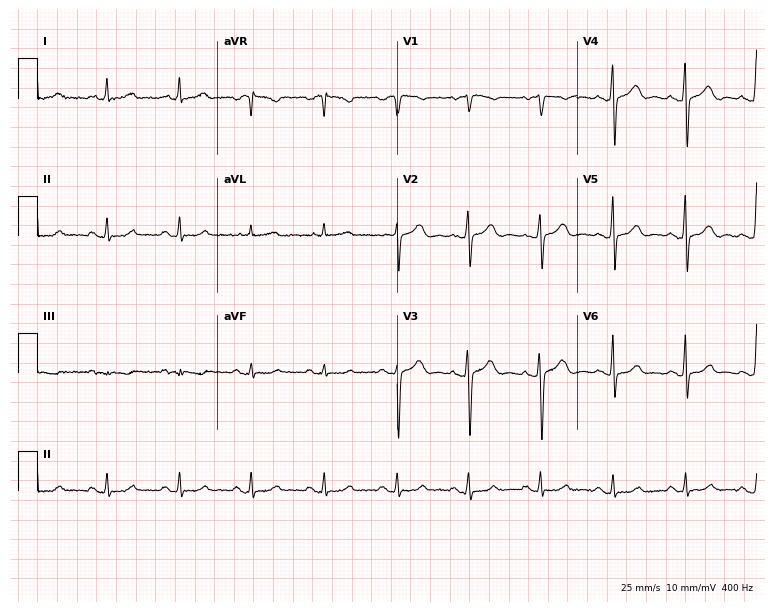
Resting 12-lead electrocardiogram (7.3-second recording at 400 Hz). Patient: a female, 48 years old. Read as a normal ECG.